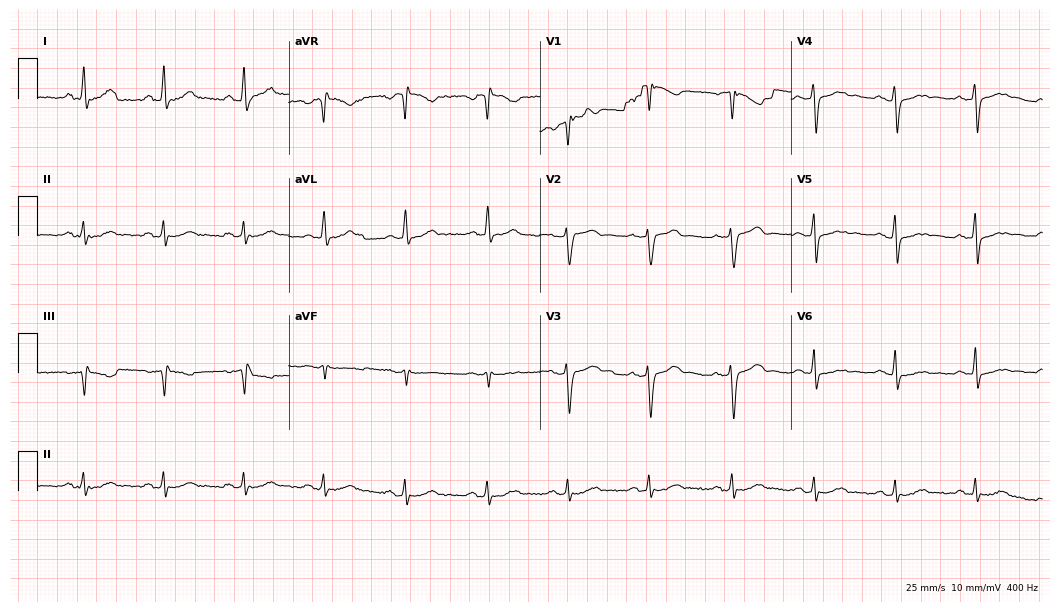
Electrocardiogram (10.2-second recording at 400 Hz), a 51-year-old male. Overall reading on record: normal ECG.